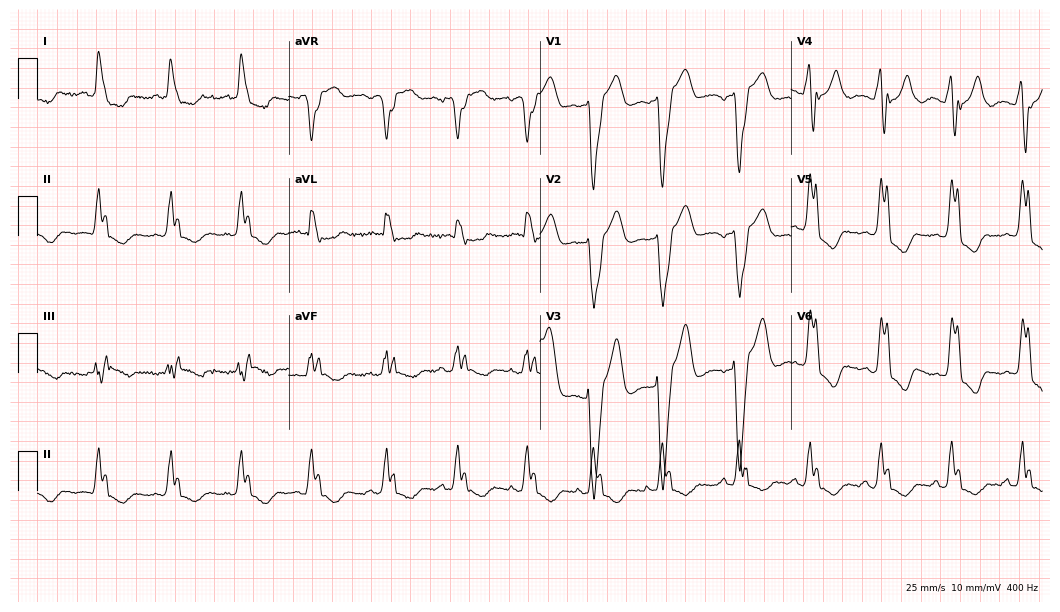
ECG (10.2-second recording at 400 Hz) — a female patient, 59 years old. Findings include left bundle branch block.